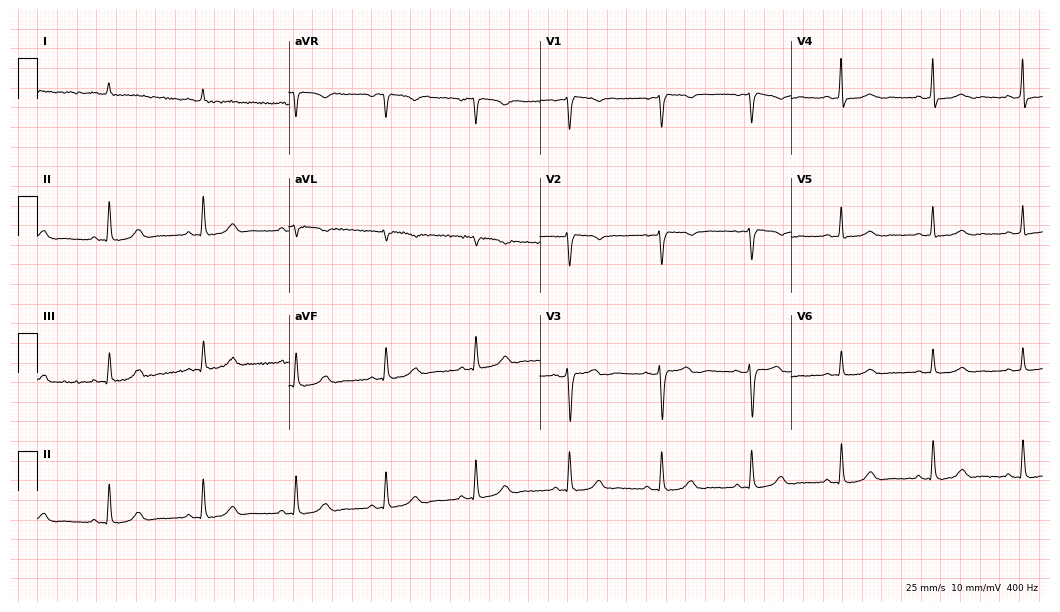
12-lead ECG from a female, 38 years old. Recorded interpretation: within normal limits.